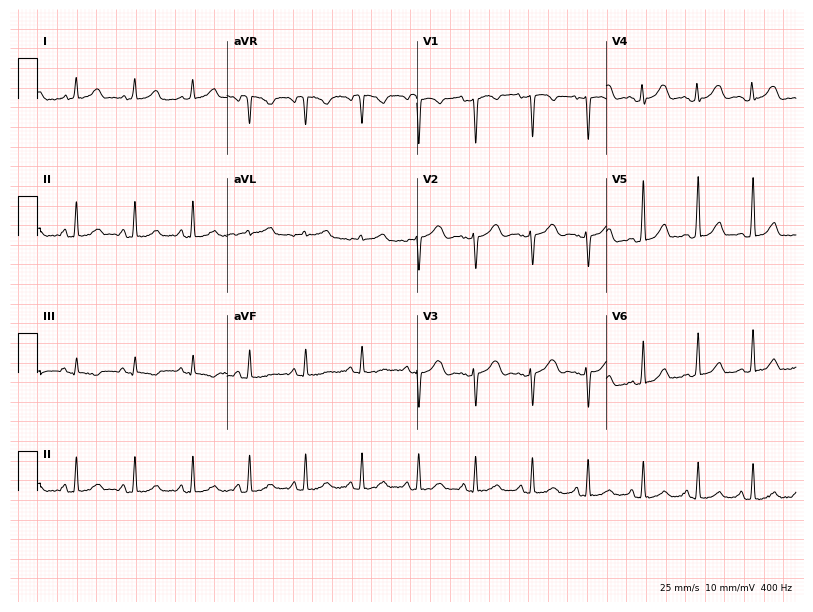
ECG (7.7-second recording at 400 Hz) — a 23-year-old male. Findings include sinus tachycardia (a sinus rate of 100 beats per minute or more).